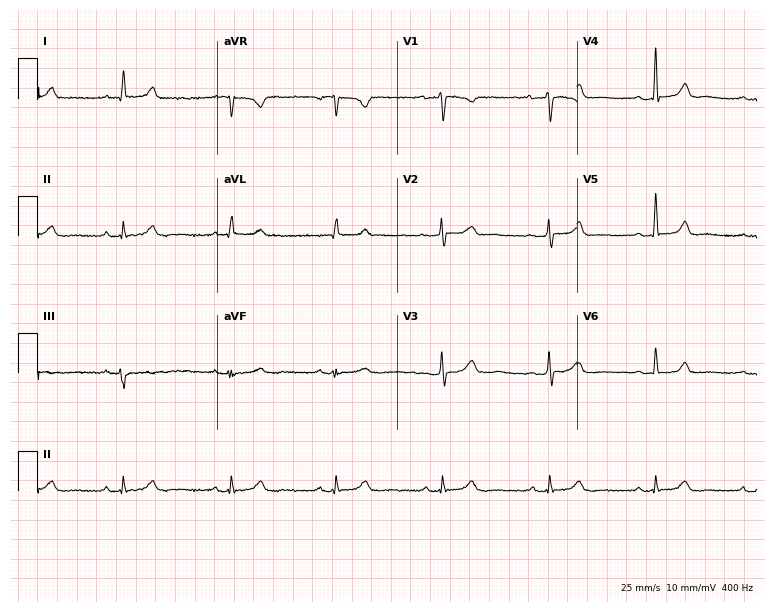
Standard 12-lead ECG recorded from a female, 52 years old (7.3-second recording at 400 Hz). Read as a normal ECG.